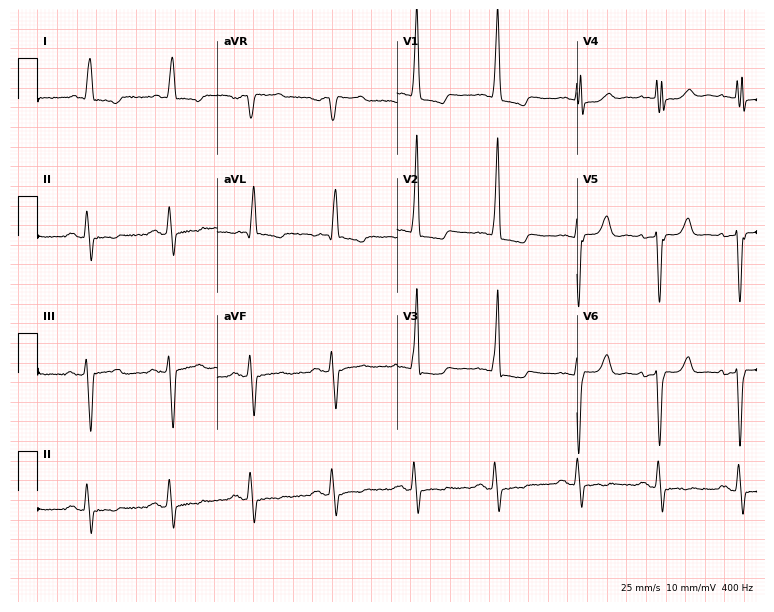
Standard 12-lead ECG recorded from a 71-year-old female. None of these six findings is recorded: first-degree AV block, right bundle branch block (RBBB), left bundle branch block (LBBB), sinus bradycardia, atrial fibrillation (AF), sinus tachycardia. Findings outside these six are not listed.